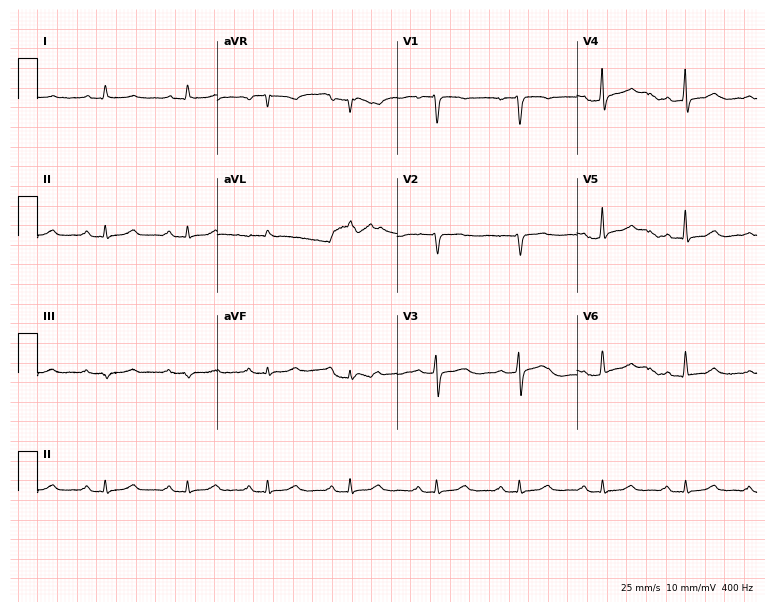
ECG — a male patient, 77 years old. Screened for six findings — first-degree AV block, right bundle branch block, left bundle branch block, sinus bradycardia, atrial fibrillation, sinus tachycardia — none is recorded.